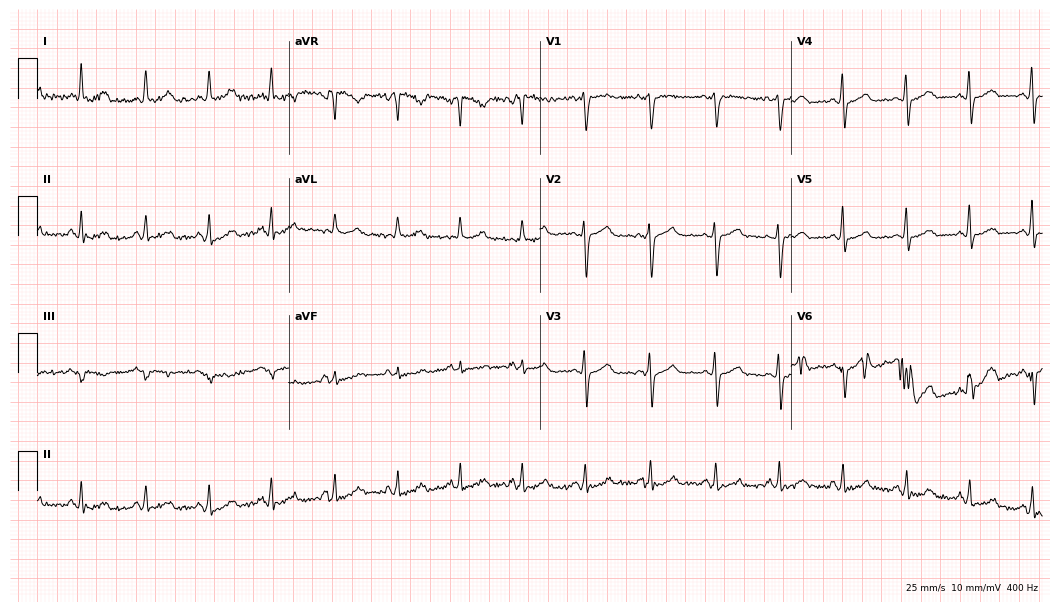
Electrocardiogram, a female, 42 years old. Of the six screened findings (first-degree AV block, right bundle branch block, left bundle branch block, sinus bradycardia, atrial fibrillation, sinus tachycardia), none is recorded.